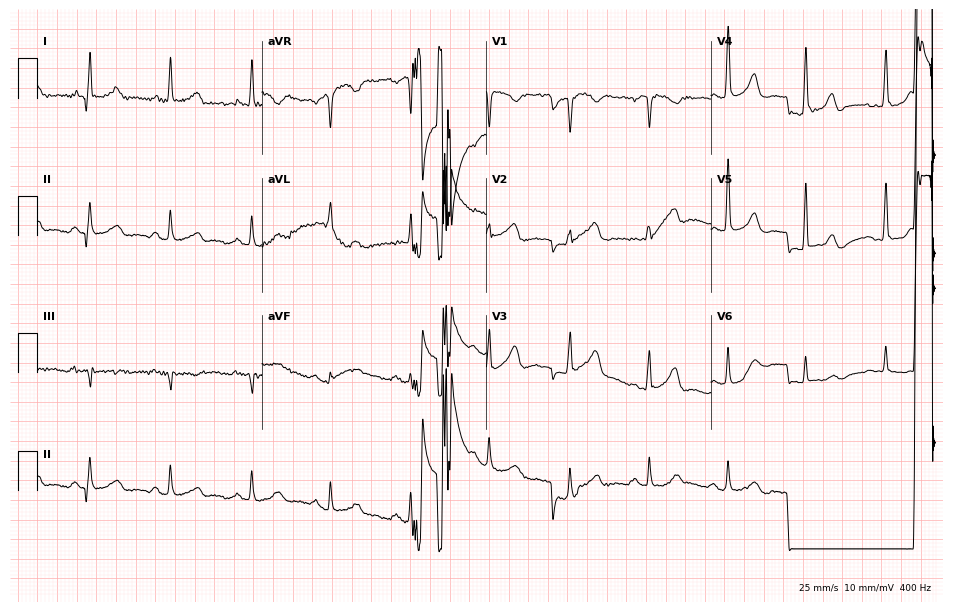
12-lead ECG from a 59-year-old female patient. Recorded interpretation: within normal limits.